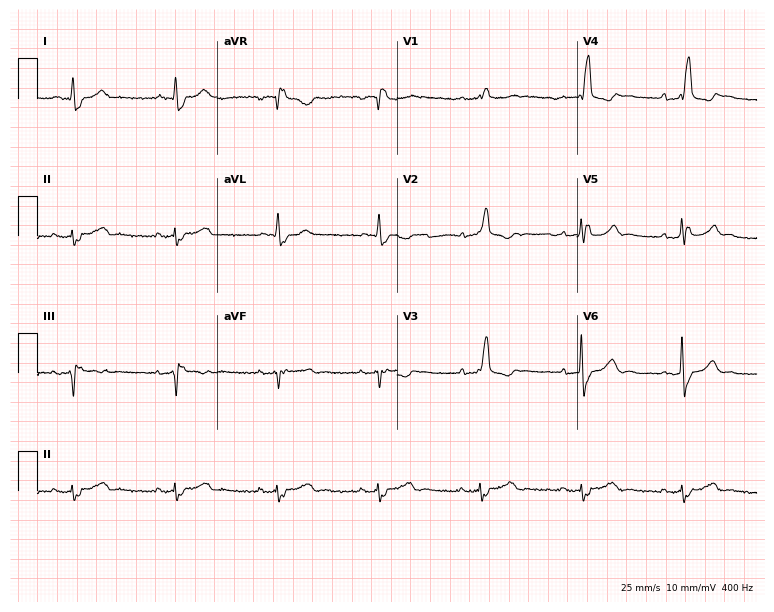
Resting 12-lead electrocardiogram (7.3-second recording at 400 Hz). Patient: a 63-year-old woman. The tracing shows right bundle branch block.